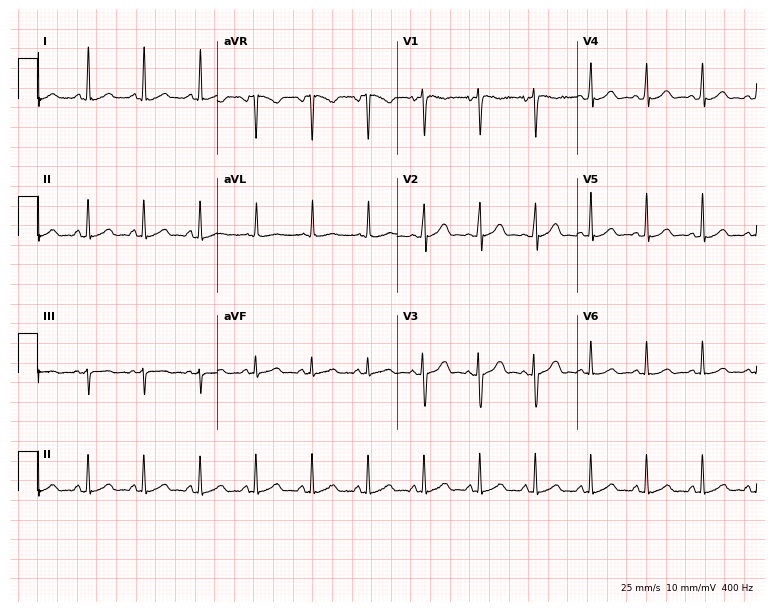
Electrocardiogram, a woman, 21 years old. Interpretation includes sinus tachycardia (a sinus rate of 100 beats per minute or more).